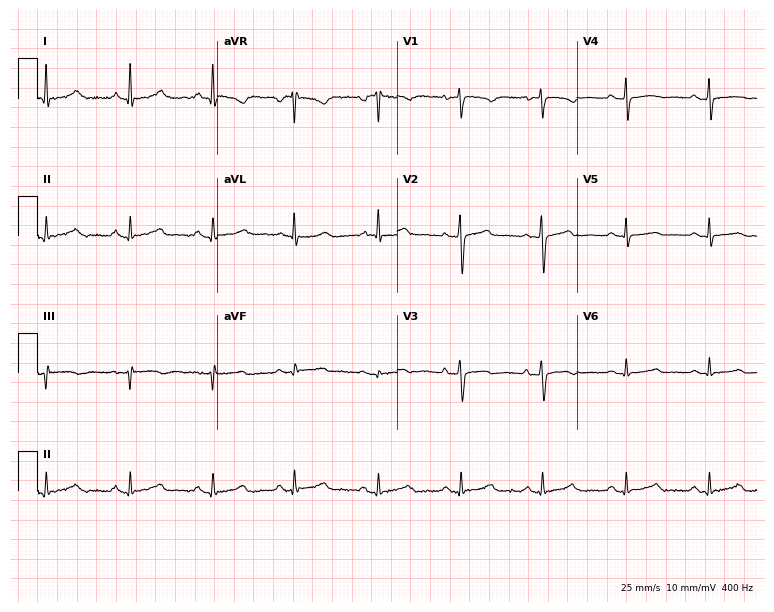
12-lead ECG (7.3-second recording at 400 Hz) from a 53-year-old female. Labelled as a normal ECG.